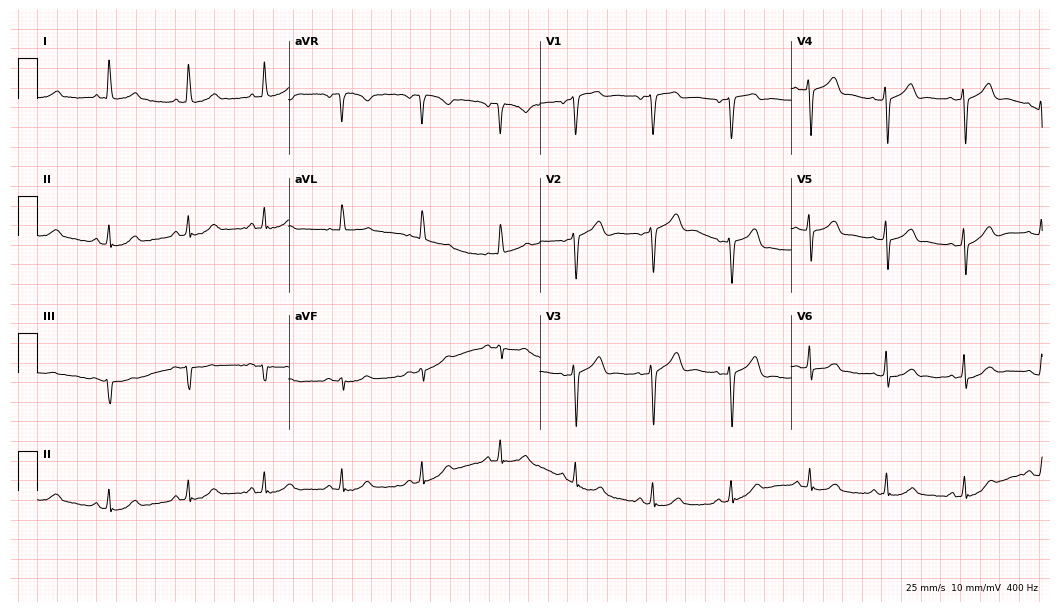
Resting 12-lead electrocardiogram. Patient: a woman, 56 years old. Read as a normal ECG.